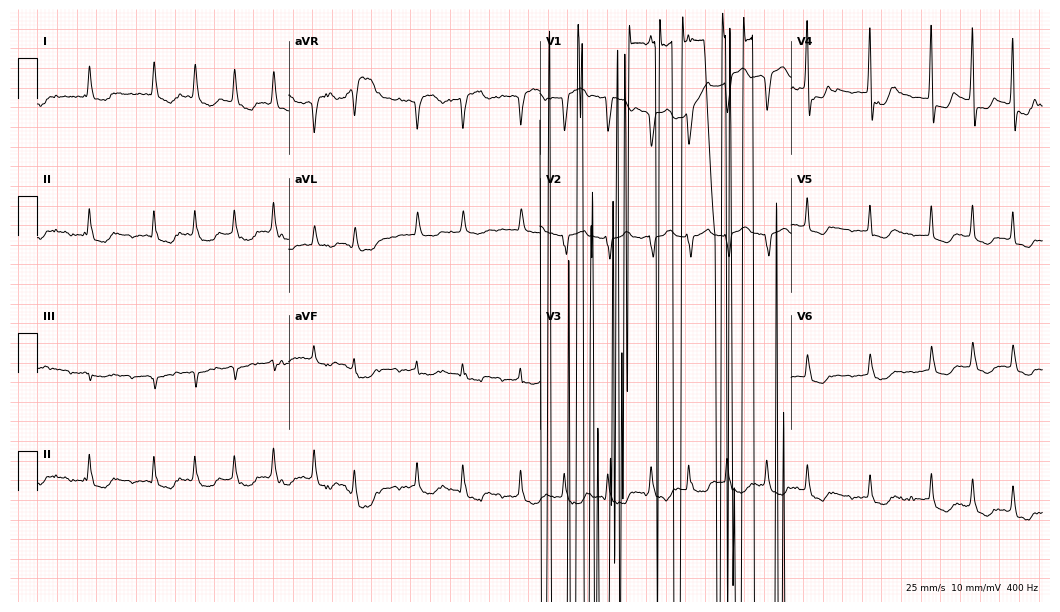
Resting 12-lead electrocardiogram (10.2-second recording at 400 Hz). Patient: a 65-year-old woman. The tracing shows atrial fibrillation.